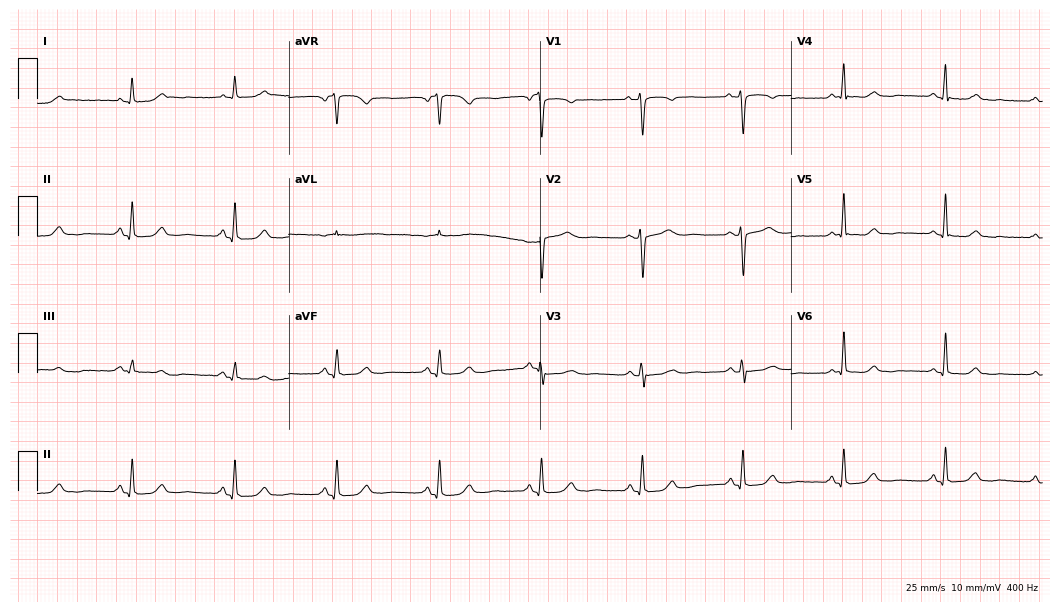
ECG (10.2-second recording at 400 Hz) — a female patient, 50 years old. Screened for six findings — first-degree AV block, right bundle branch block (RBBB), left bundle branch block (LBBB), sinus bradycardia, atrial fibrillation (AF), sinus tachycardia — none is recorded.